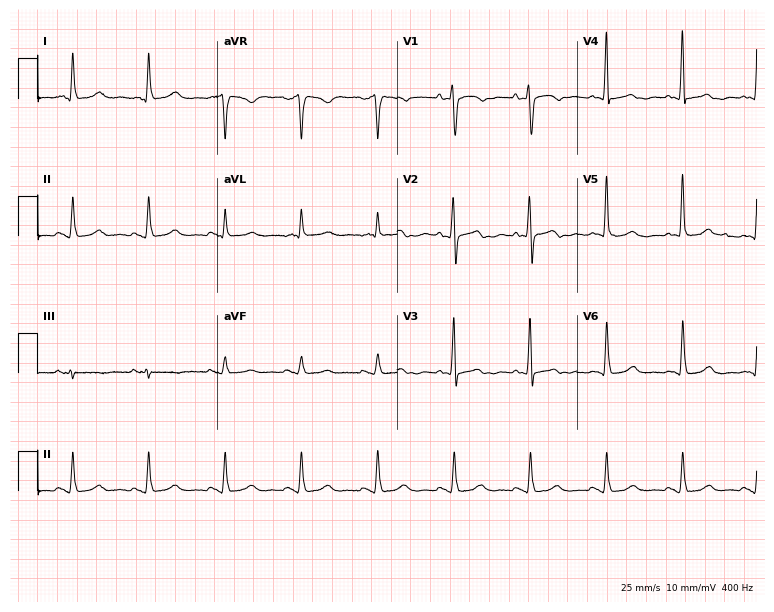
ECG — a female patient, 76 years old. Labelled as a normal ECG.